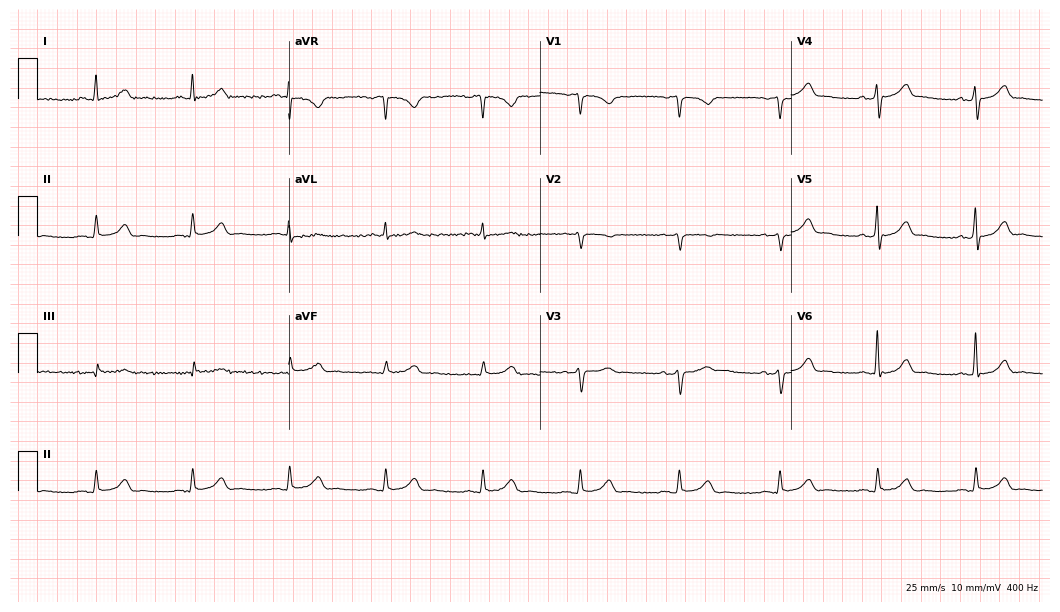
12-lead ECG from a 62-year-old male (10.2-second recording at 400 Hz). Recorded interpretation: within normal limits.